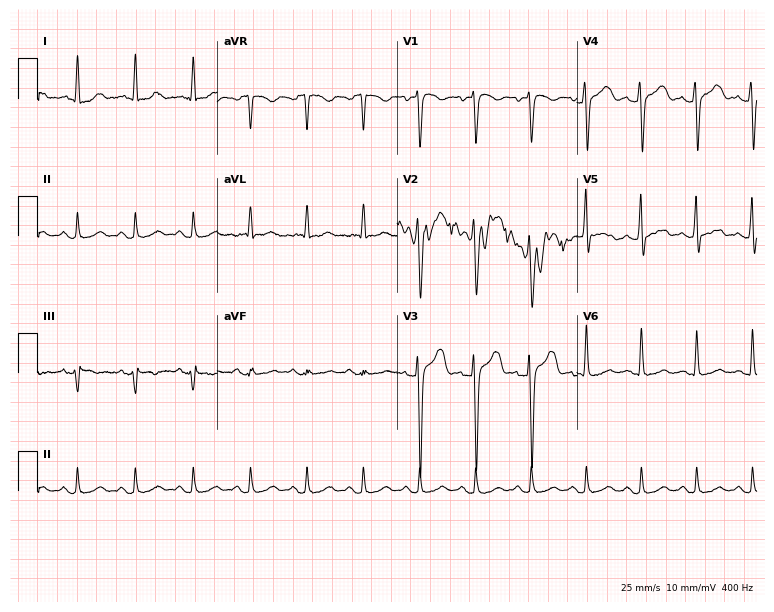
Resting 12-lead electrocardiogram. Patient: a 51-year-old male. The tracing shows sinus tachycardia (a sinus rate of 100 beats per minute or more).